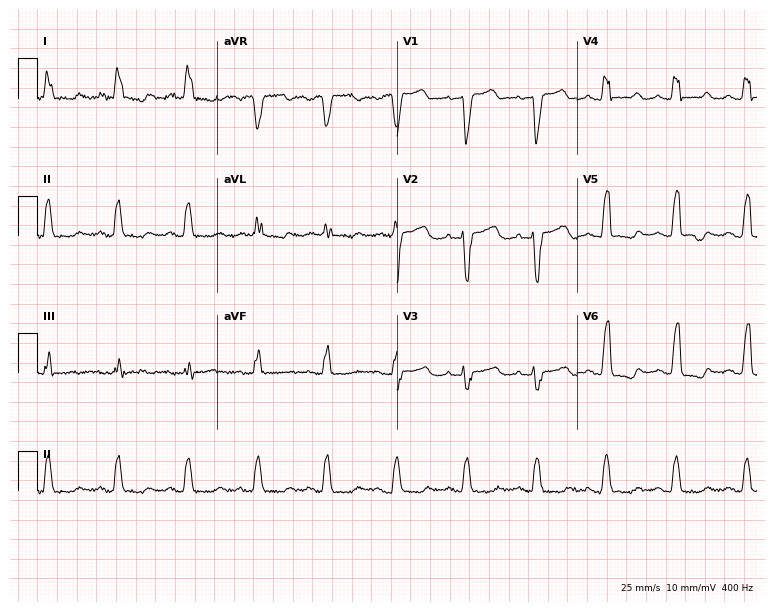
12-lead ECG from a 72-year-old woman. Shows left bundle branch block (LBBB).